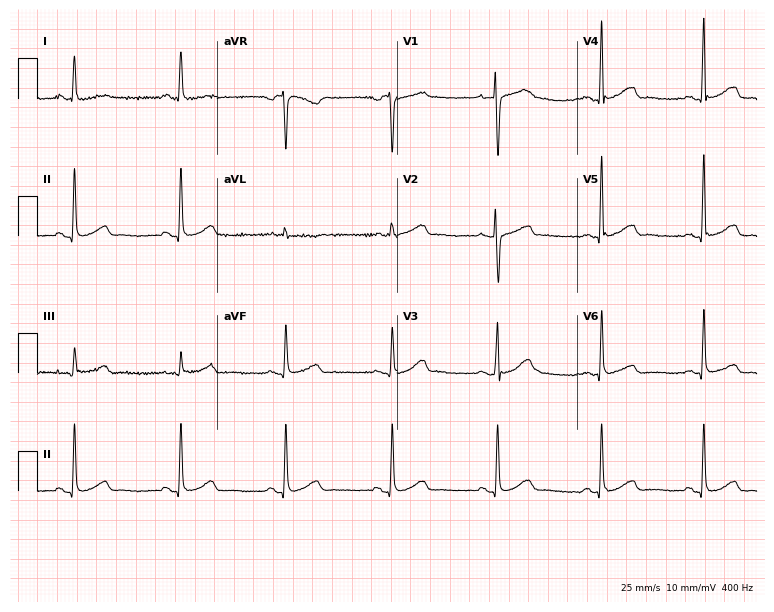
Electrocardiogram (7.3-second recording at 400 Hz), a woman, 50 years old. Overall reading on record: normal ECG.